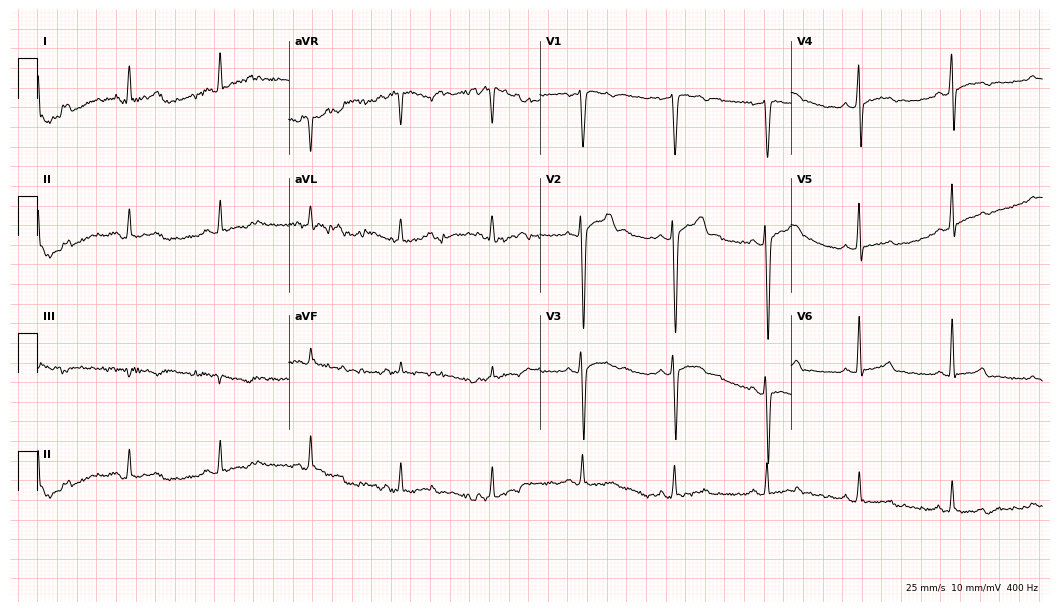
Resting 12-lead electrocardiogram. Patient: a male, 47 years old. None of these six findings is recorded: first-degree AV block, right bundle branch block, left bundle branch block, sinus bradycardia, atrial fibrillation, sinus tachycardia.